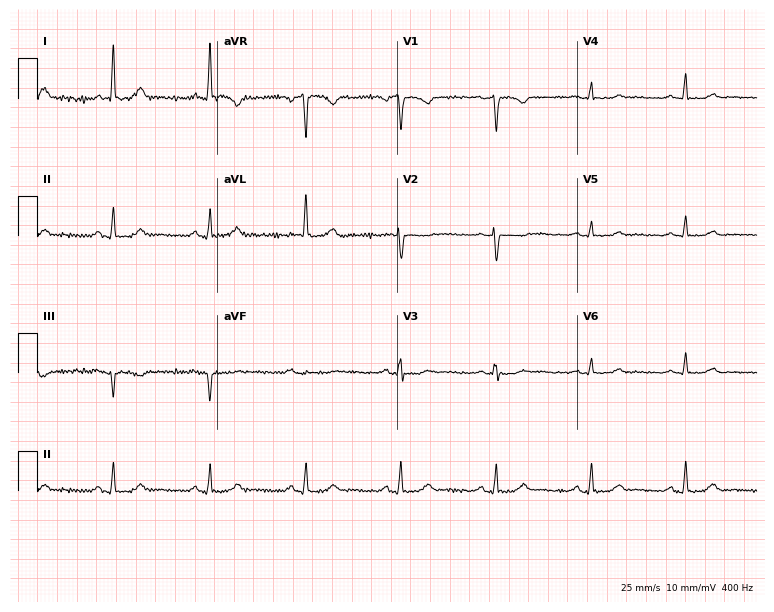
12-lead ECG (7.3-second recording at 400 Hz) from a female, 79 years old. Labelled as a normal ECG.